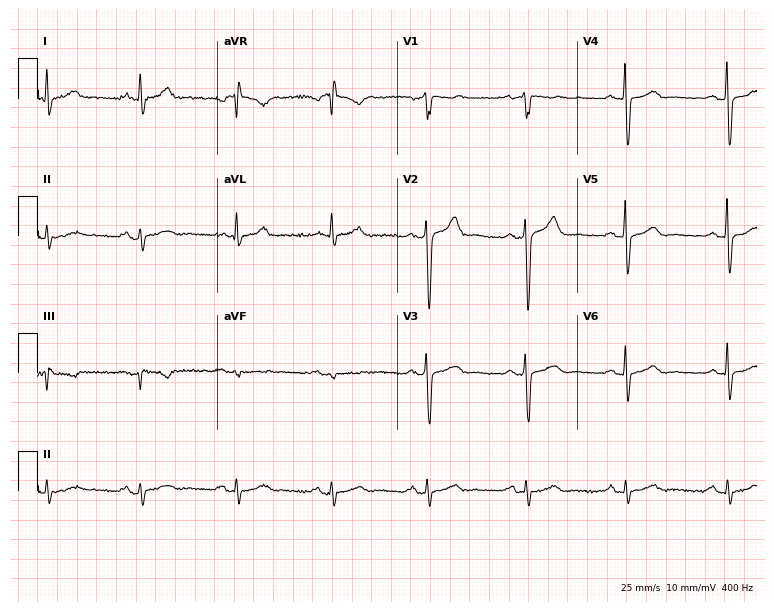
ECG (7.3-second recording at 400 Hz) — a 69-year-old male. Screened for six findings — first-degree AV block, right bundle branch block, left bundle branch block, sinus bradycardia, atrial fibrillation, sinus tachycardia — none is recorded.